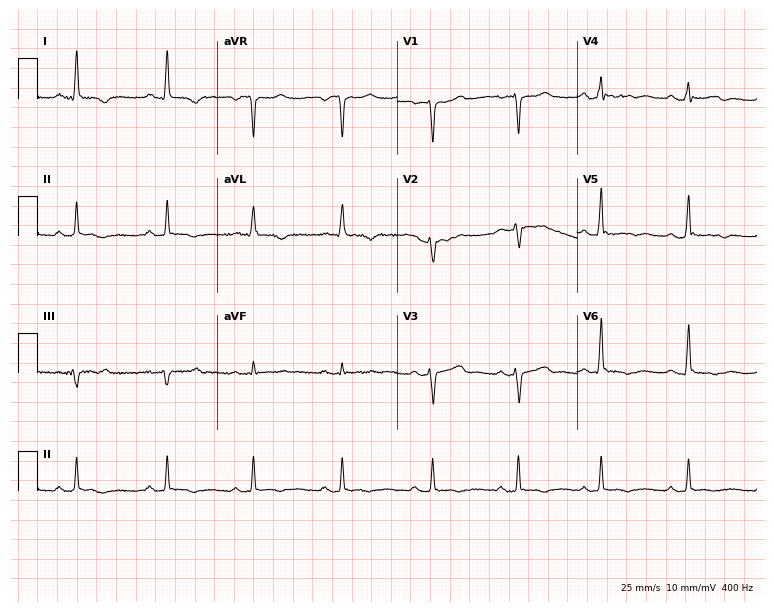
12-lead ECG from a 44-year-old female patient. No first-degree AV block, right bundle branch block, left bundle branch block, sinus bradycardia, atrial fibrillation or sinus tachycardia recorded for this tracing.